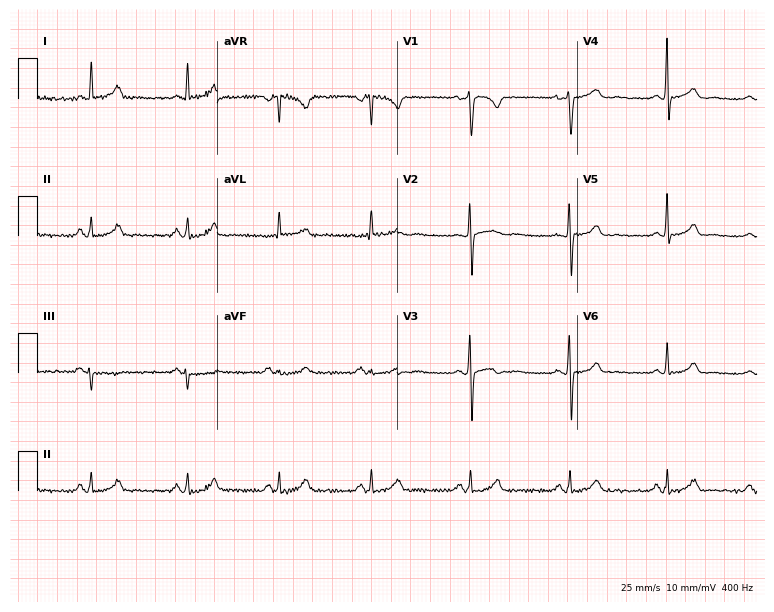
Electrocardiogram (7.3-second recording at 400 Hz), a female, 40 years old. Overall reading on record: normal ECG.